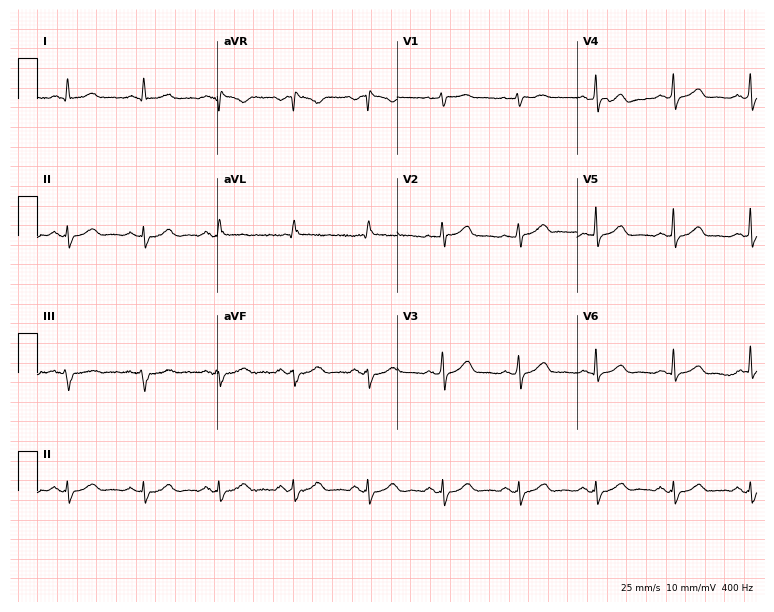
Resting 12-lead electrocardiogram. Patient: a 74-year-old male. None of these six findings is recorded: first-degree AV block, right bundle branch block, left bundle branch block, sinus bradycardia, atrial fibrillation, sinus tachycardia.